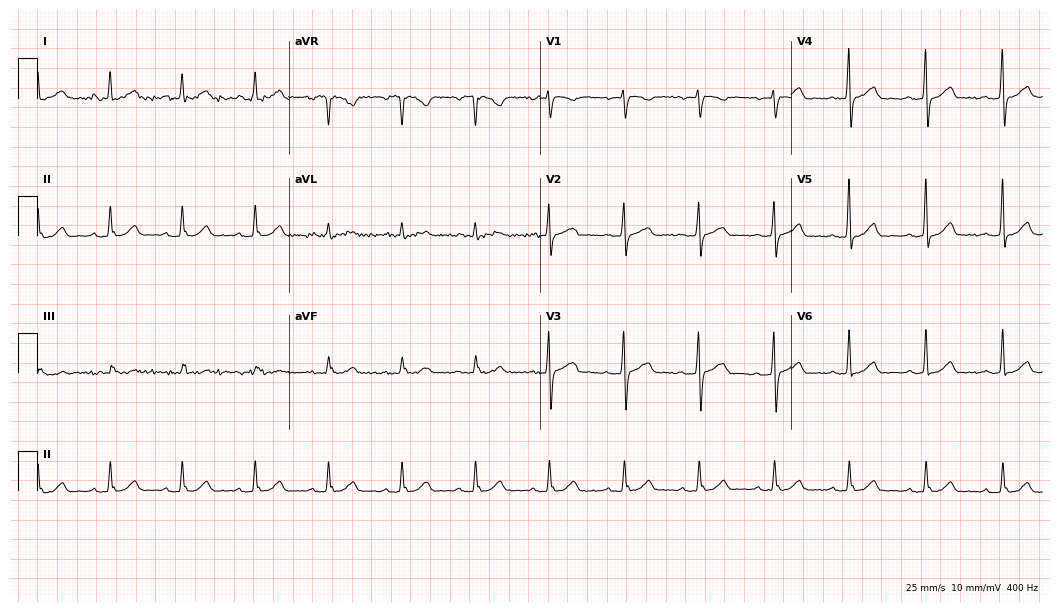
ECG (10.2-second recording at 400 Hz) — a 69-year-old female patient. Labelled as a normal ECG.